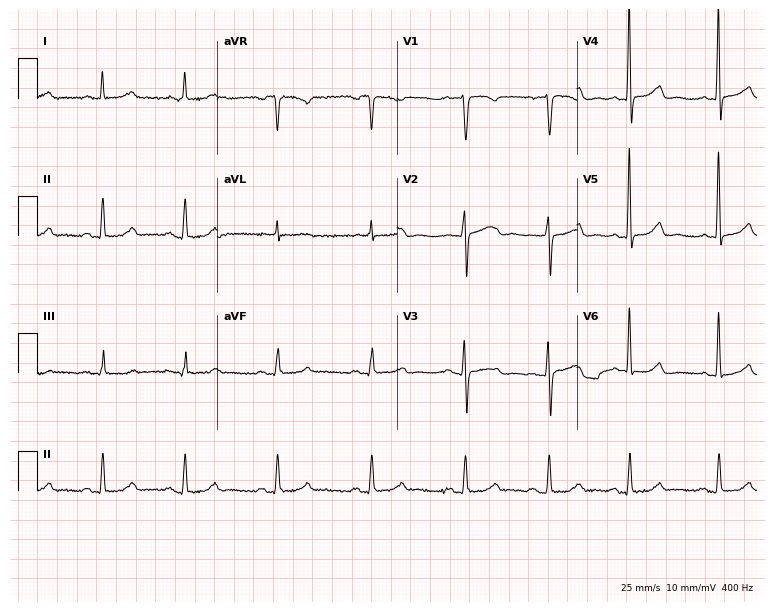
12-lead ECG from a 45-year-old woman. No first-degree AV block, right bundle branch block (RBBB), left bundle branch block (LBBB), sinus bradycardia, atrial fibrillation (AF) or sinus tachycardia recorded for this tracing. Findings outside these six are not listed.